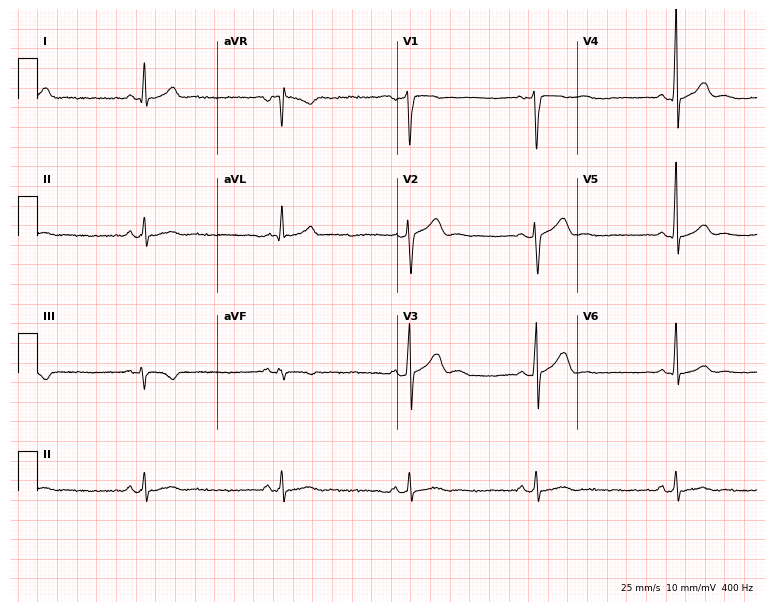
12-lead ECG (7.3-second recording at 400 Hz) from a man, 46 years old. Findings include sinus bradycardia (a sinus rate of 50 beats per minute or less).